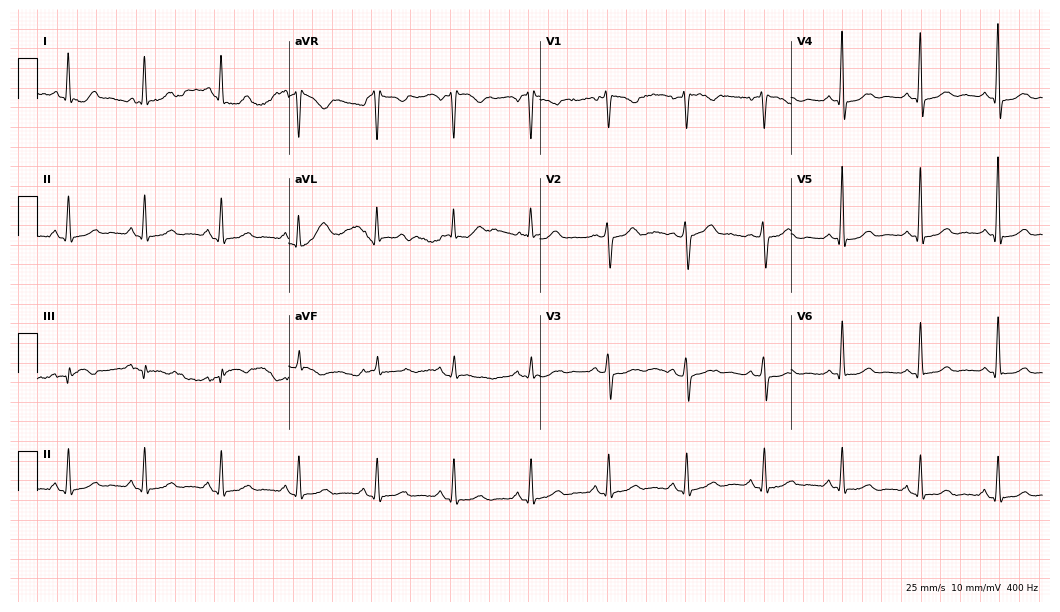
Electrocardiogram, a woman, 68 years old. Overall reading on record: normal ECG.